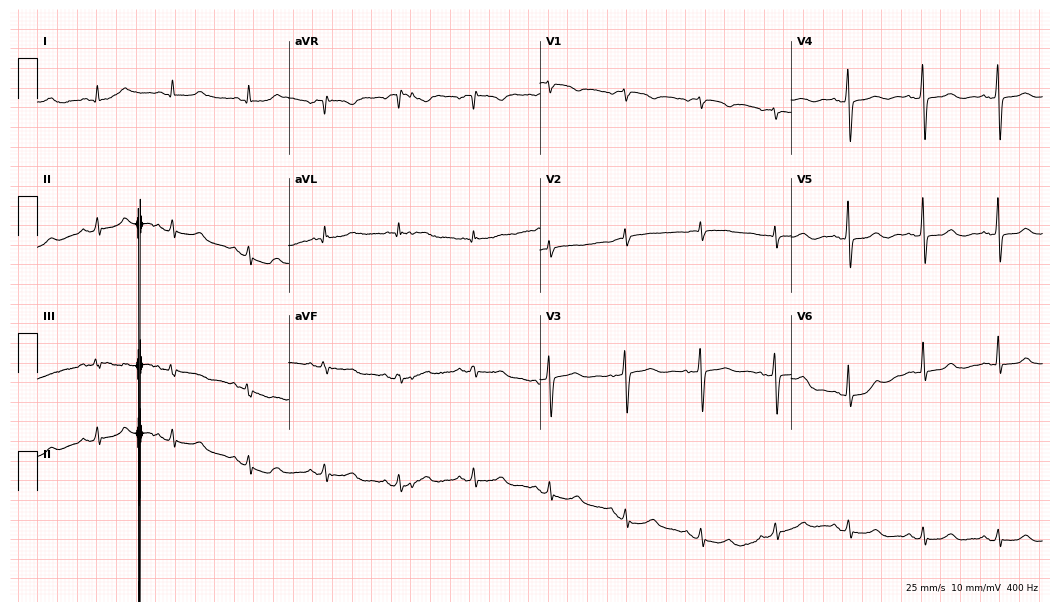
12-lead ECG (10.2-second recording at 400 Hz) from a 73-year-old female. Screened for six findings — first-degree AV block, right bundle branch block, left bundle branch block, sinus bradycardia, atrial fibrillation, sinus tachycardia — none is recorded.